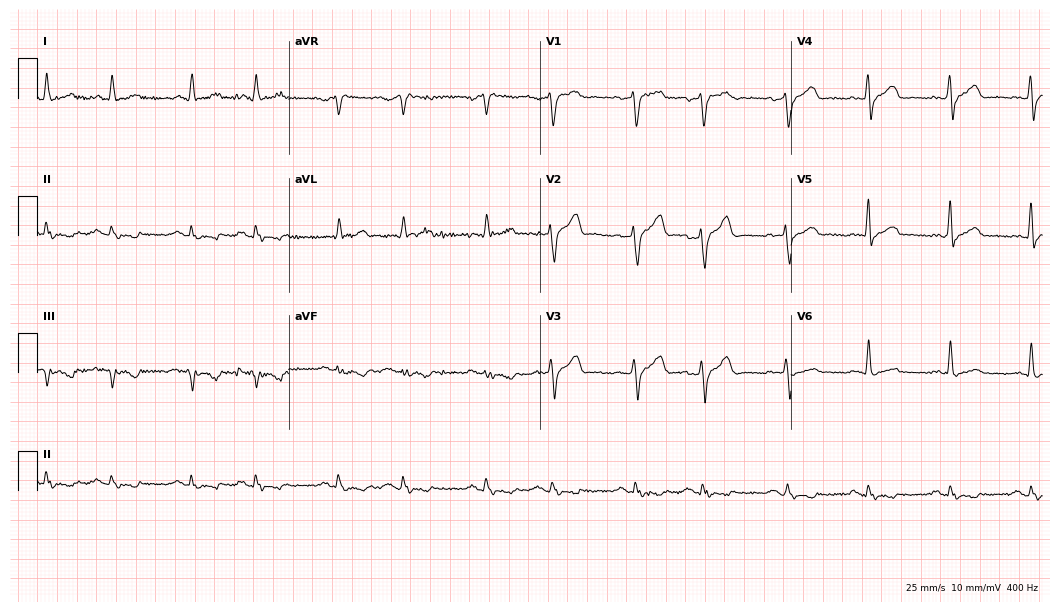
ECG — a 77-year-old male patient. Screened for six findings — first-degree AV block, right bundle branch block, left bundle branch block, sinus bradycardia, atrial fibrillation, sinus tachycardia — none is recorded. Other findings, if any, are not listed.